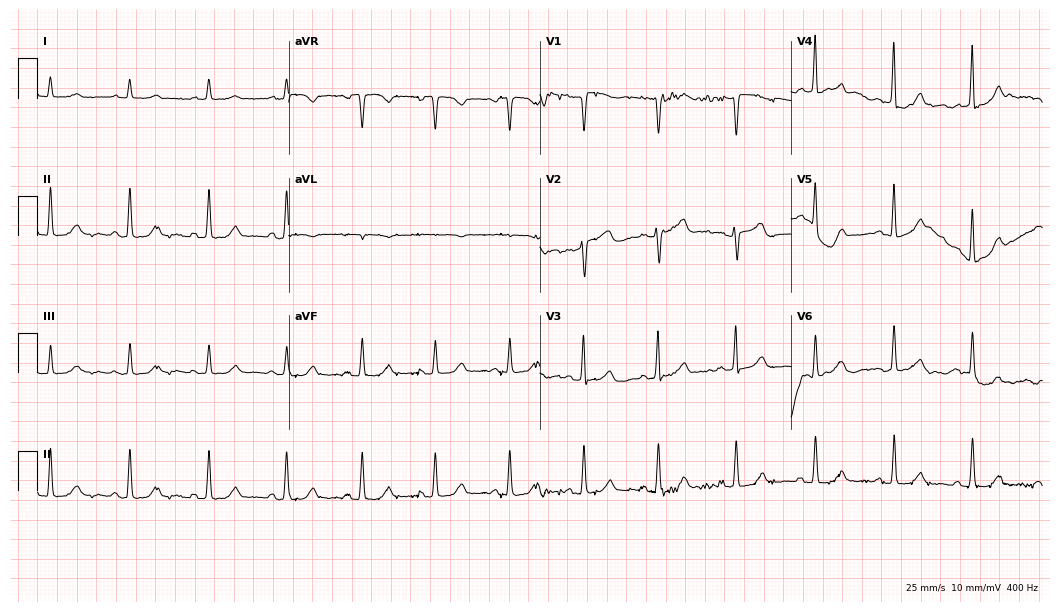
Resting 12-lead electrocardiogram. Patient: a female, 73 years old. Read as a normal ECG.